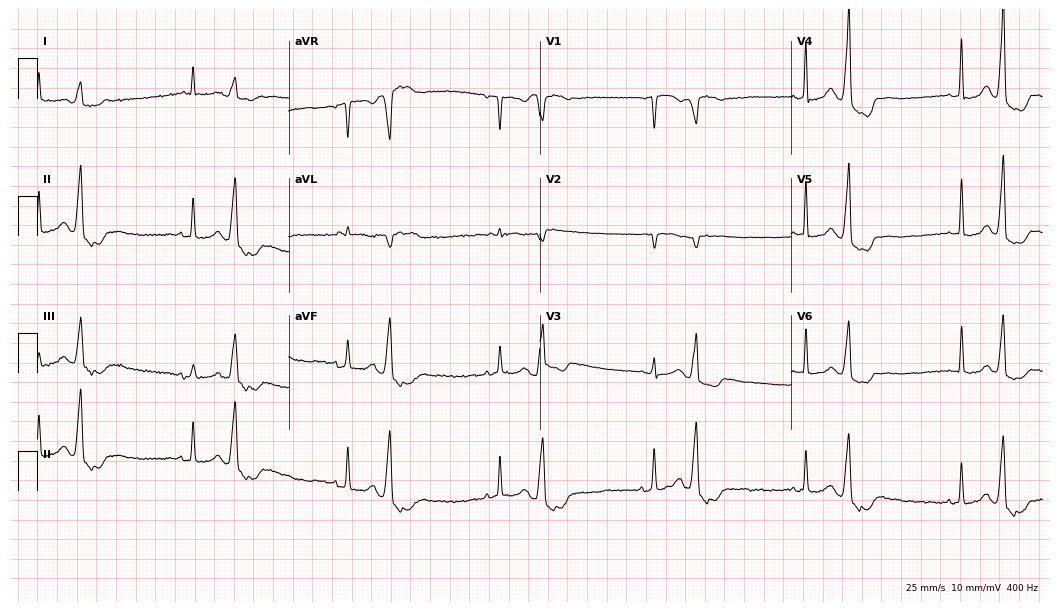
12-lead ECG (10.2-second recording at 400 Hz) from a female, 81 years old. Screened for six findings — first-degree AV block, right bundle branch block, left bundle branch block, sinus bradycardia, atrial fibrillation, sinus tachycardia — none is recorded.